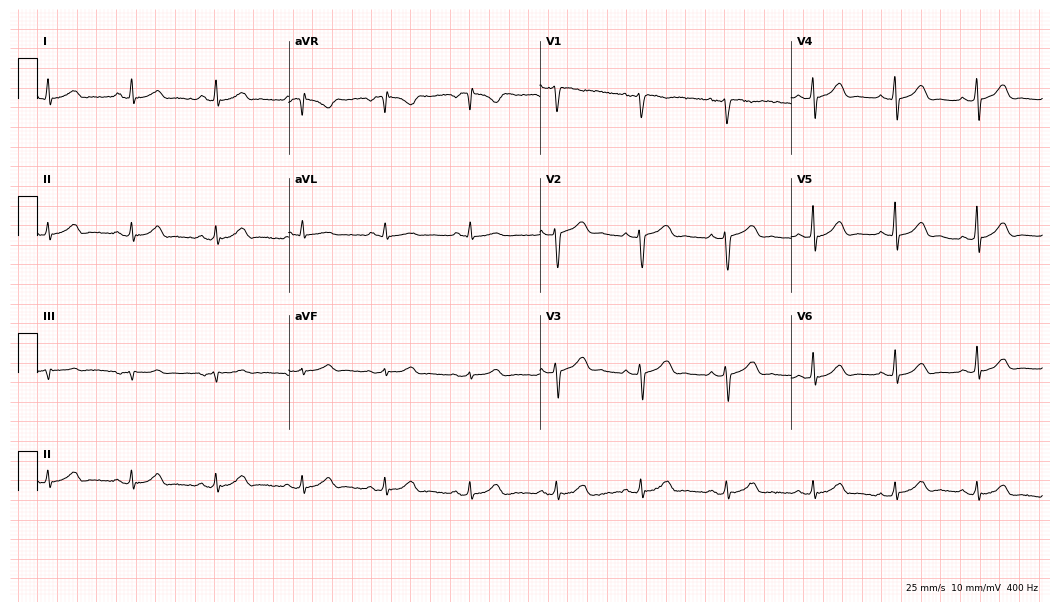
Standard 12-lead ECG recorded from a 40-year-old female patient (10.2-second recording at 400 Hz). Read as a normal ECG.